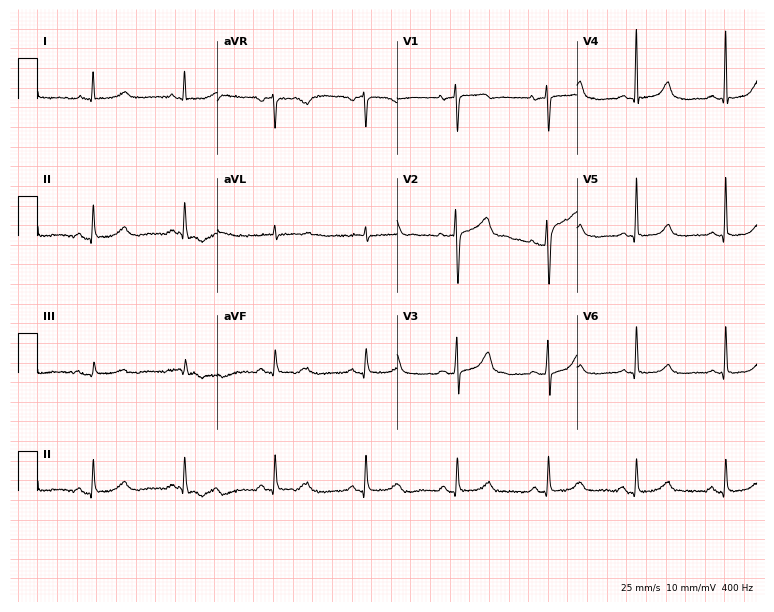
Electrocardiogram (7.3-second recording at 400 Hz), a 78-year-old female. Overall reading on record: normal ECG.